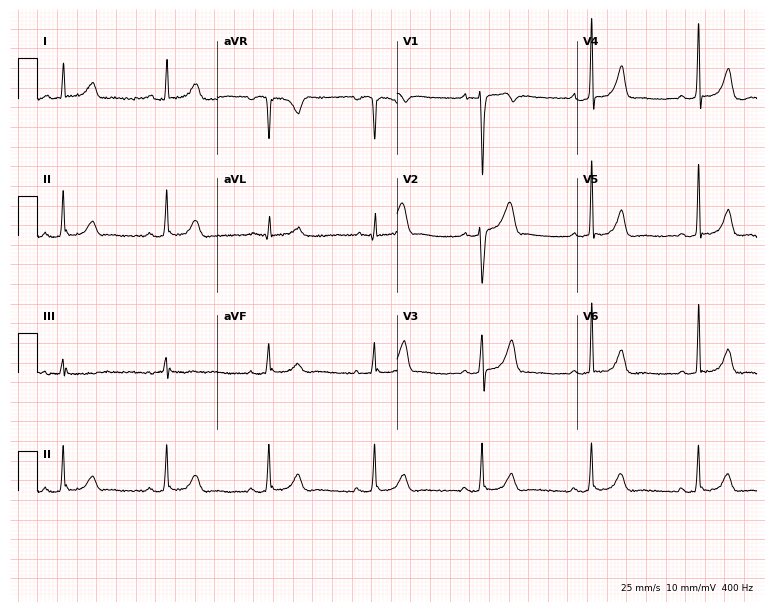
Resting 12-lead electrocardiogram (7.3-second recording at 400 Hz). Patient: a 34-year-old female. Read as a normal ECG.